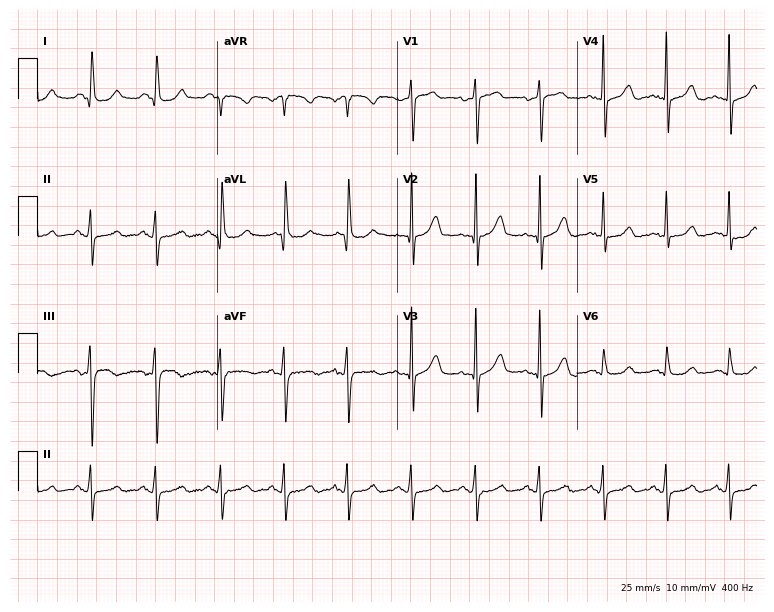
ECG (7.3-second recording at 400 Hz) — a 58-year-old female. Screened for six findings — first-degree AV block, right bundle branch block, left bundle branch block, sinus bradycardia, atrial fibrillation, sinus tachycardia — none is recorded. Other findings, if any, are not listed.